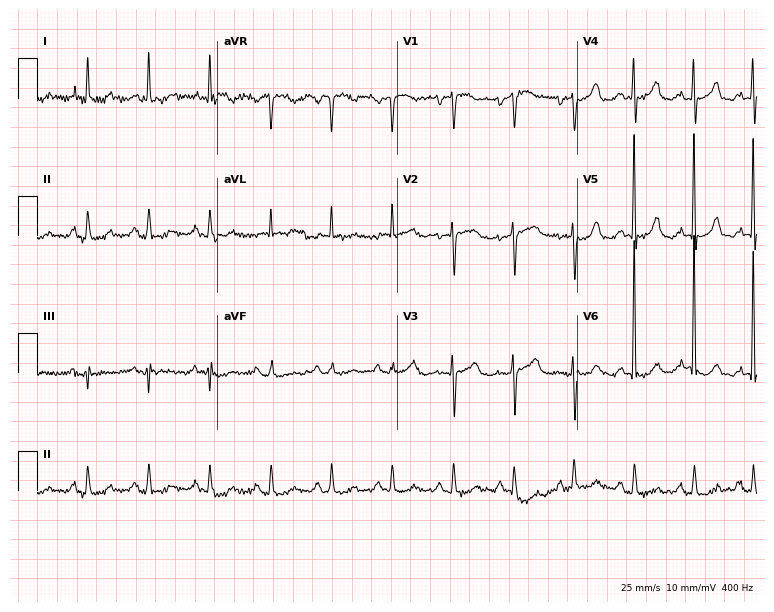
Electrocardiogram, a 78-year-old woman. Of the six screened findings (first-degree AV block, right bundle branch block (RBBB), left bundle branch block (LBBB), sinus bradycardia, atrial fibrillation (AF), sinus tachycardia), none is recorded. Only these six findings were labelled.